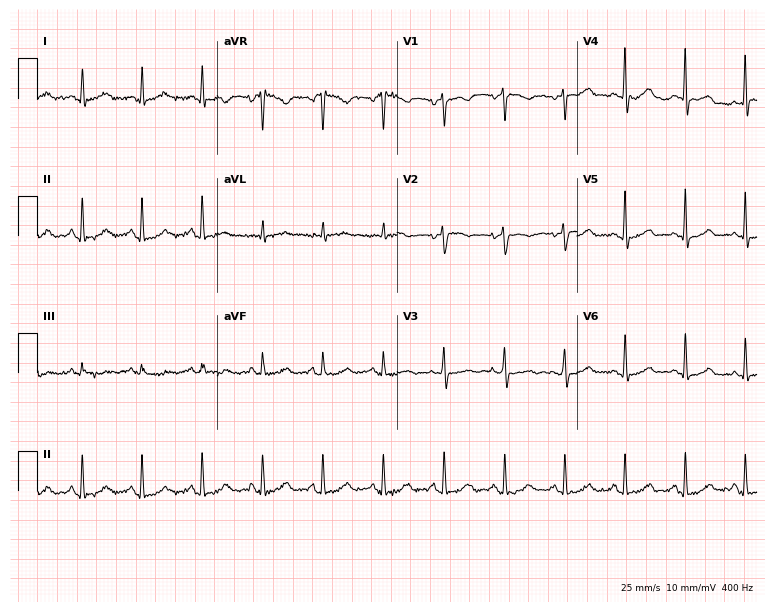
Resting 12-lead electrocardiogram. Patient: a female, 58 years old. Read as a normal ECG.